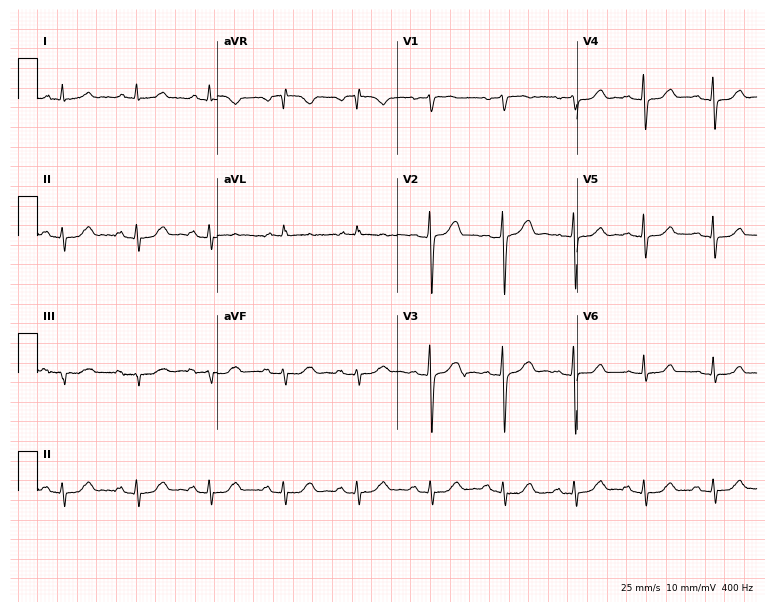
Standard 12-lead ECG recorded from a female patient, 49 years old. None of these six findings is recorded: first-degree AV block, right bundle branch block, left bundle branch block, sinus bradycardia, atrial fibrillation, sinus tachycardia.